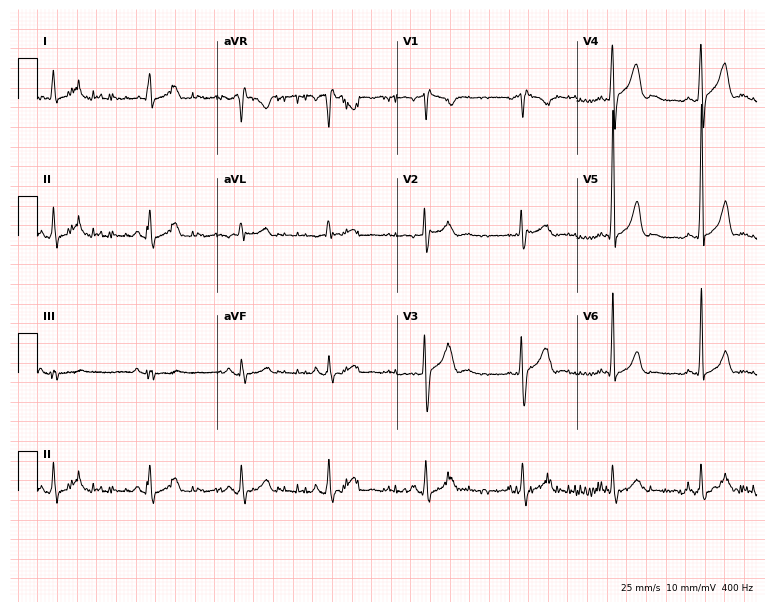
Standard 12-lead ECG recorded from a male patient, 19 years old. Read as a normal ECG.